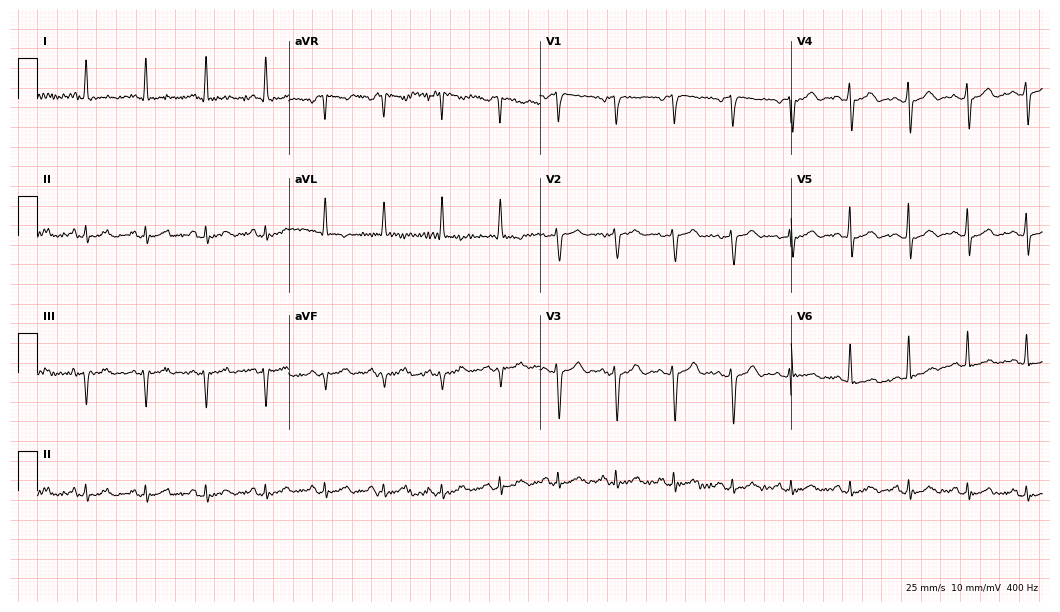
Resting 12-lead electrocardiogram. Patient: a man, 70 years old. None of these six findings is recorded: first-degree AV block, right bundle branch block, left bundle branch block, sinus bradycardia, atrial fibrillation, sinus tachycardia.